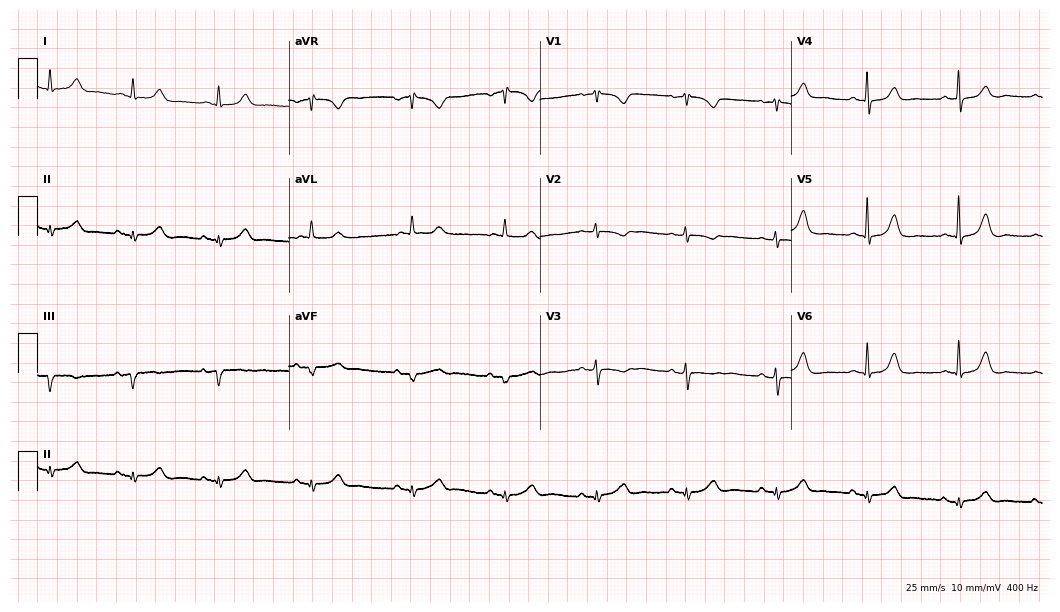
Electrocardiogram (10.2-second recording at 400 Hz), a 76-year-old female patient. Overall reading on record: normal ECG.